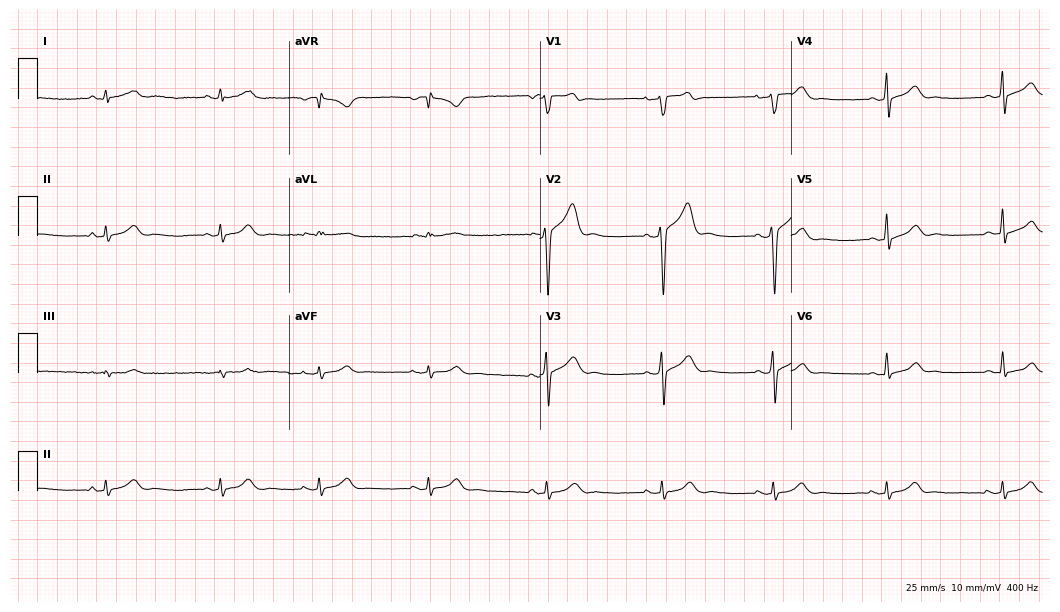
ECG (10.2-second recording at 400 Hz) — a male patient, 43 years old. Labelled as a normal ECG.